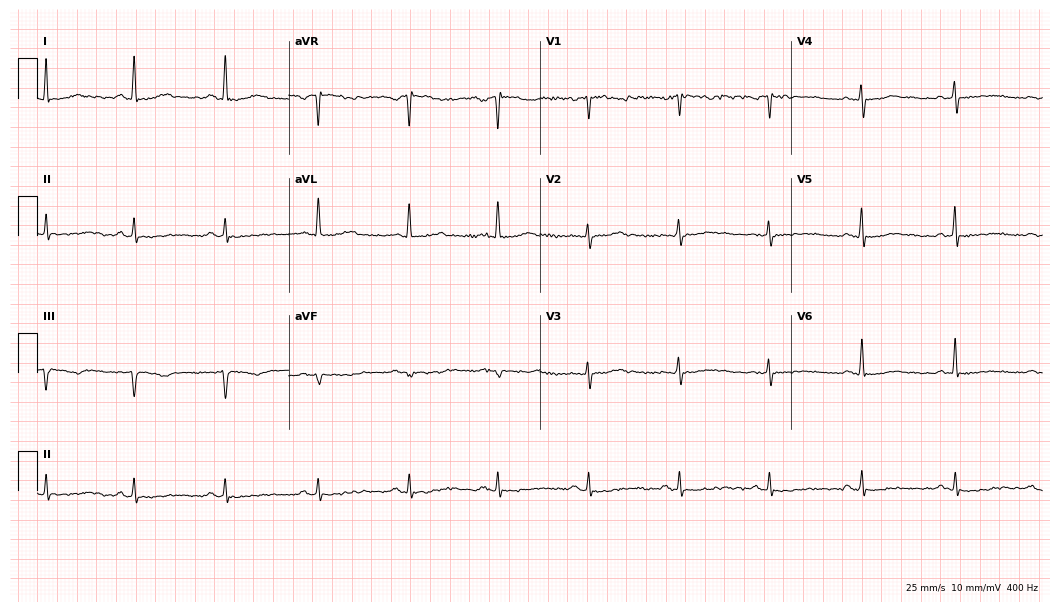
ECG (10.2-second recording at 400 Hz) — a 58-year-old woman. Labelled as a normal ECG.